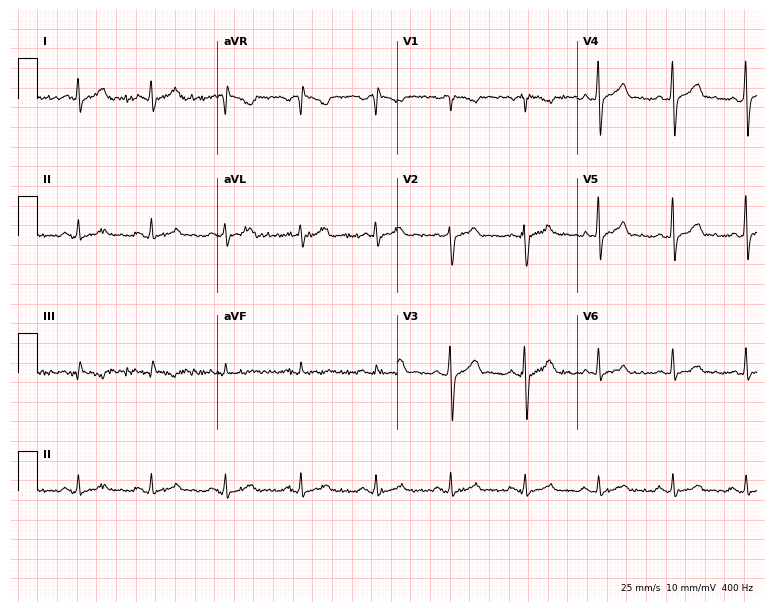
12-lead ECG from a 46-year-old man (7.3-second recording at 400 Hz). Recorded interpretation: within normal limits.